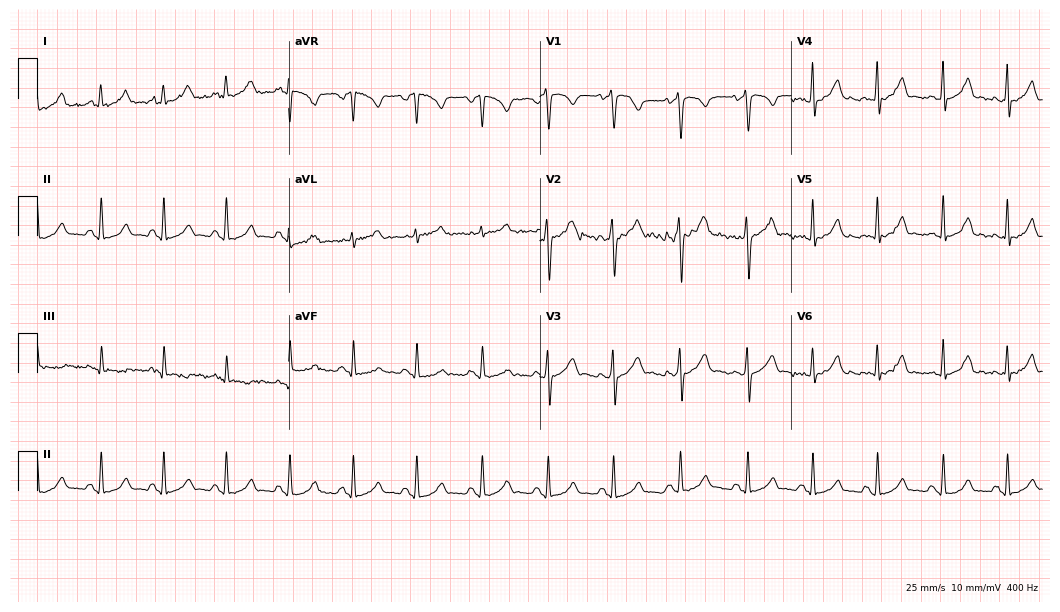
Resting 12-lead electrocardiogram (10.2-second recording at 400 Hz). Patient: a male, 23 years old. None of these six findings is recorded: first-degree AV block, right bundle branch block, left bundle branch block, sinus bradycardia, atrial fibrillation, sinus tachycardia.